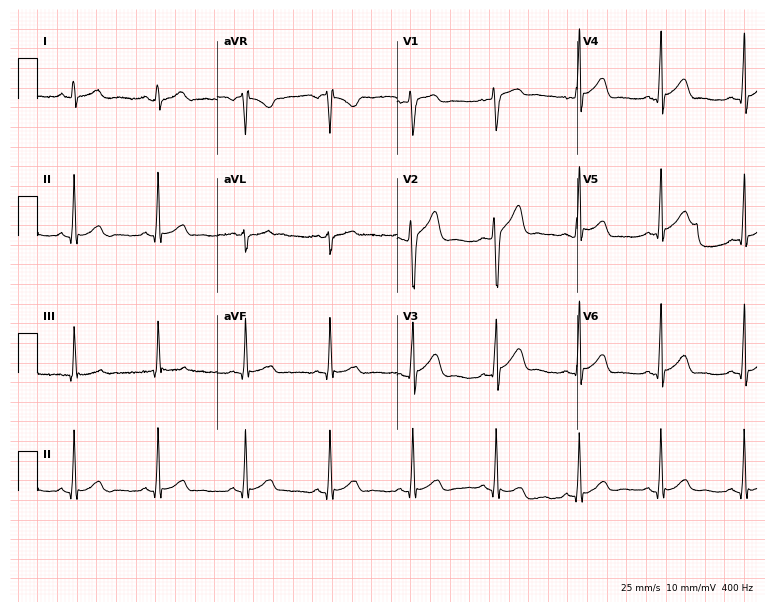
ECG (7.3-second recording at 400 Hz) — a male patient, 21 years old. Labelled as a normal ECG.